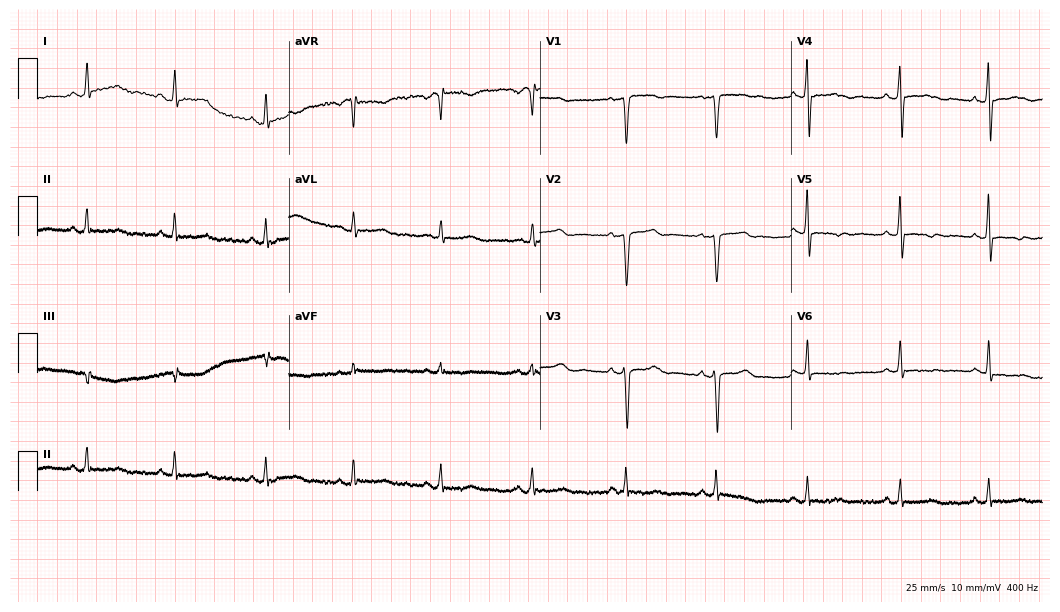
12-lead ECG from a woman, 52 years old. No first-degree AV block, right bundle branch block (RBBB), left bundle branch block (LBBB), sinus bradycardia, atrial fibrillation (AF) or sinus tachycardia recorded for this tracing.